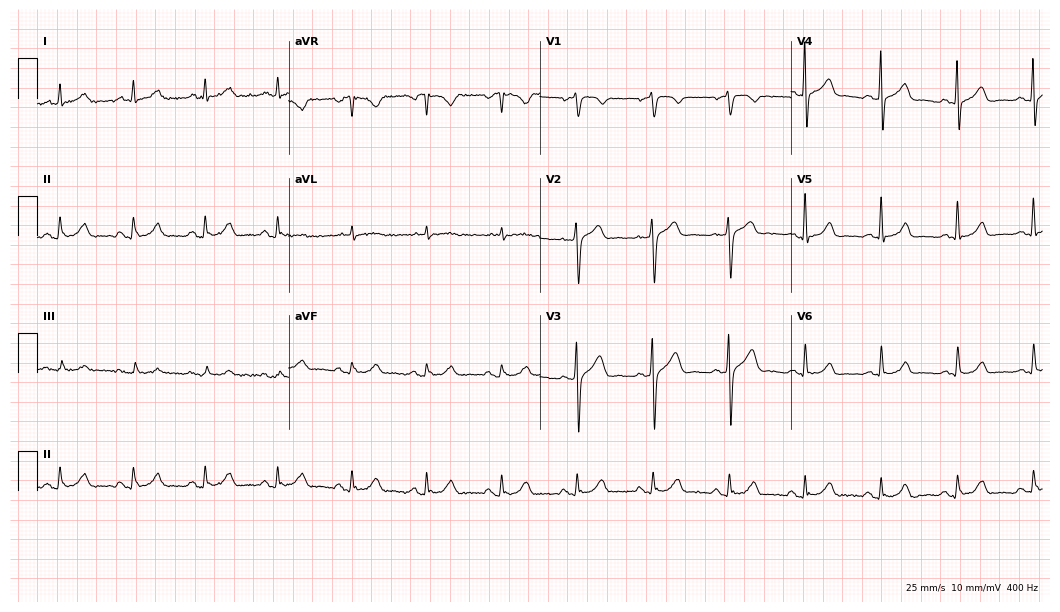
12-lead ECG from a male patient, 57 years old. Labelled as a normal ECG.